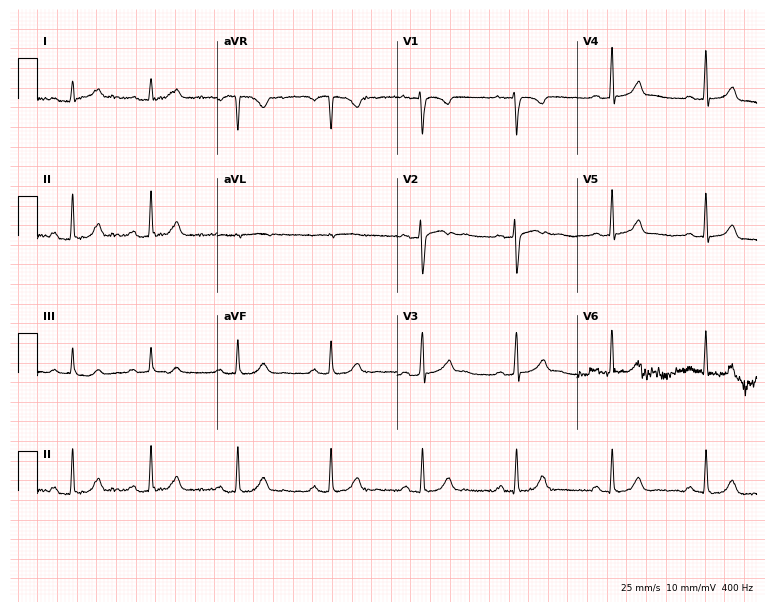
Resting 12-lead electrocardiogram. Patient: a female, 27 years old. Read as a normal ECG.